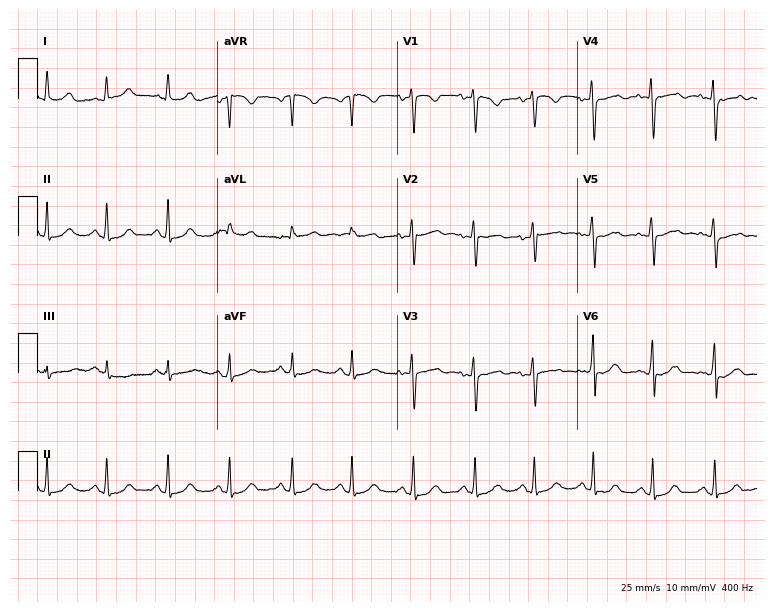
12-lead ECG from a female patient, 39 years old (7.3-second recording at 400 Hz). No first-degree AV block, right bundle branch block (RBBB), left bundle branch block (LBBB), sinus bradycardia, atrial fibrillation (AF) or sinus tachycardia recorded for this tracing.